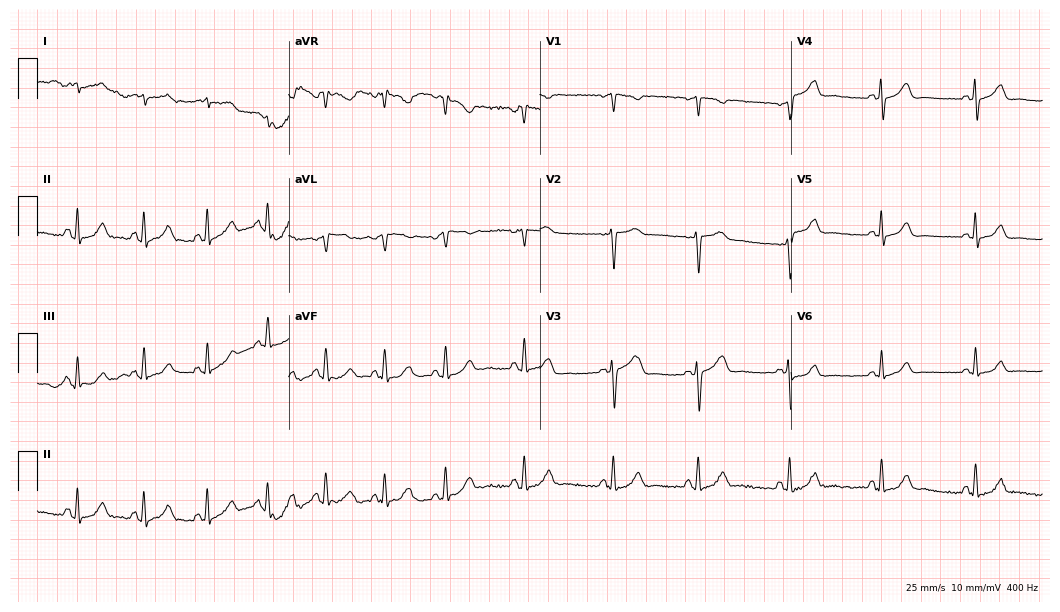
ECG (10.2-second recording at 400 Hz) — a woman, 50 years old. Screened for six findings — first-degree AV block, right bundle branch block, left bundle branch block, sinus bradycardia, atrial fibrillation, sinus tachycardia — none is recorded. Only these six findings were labelled.